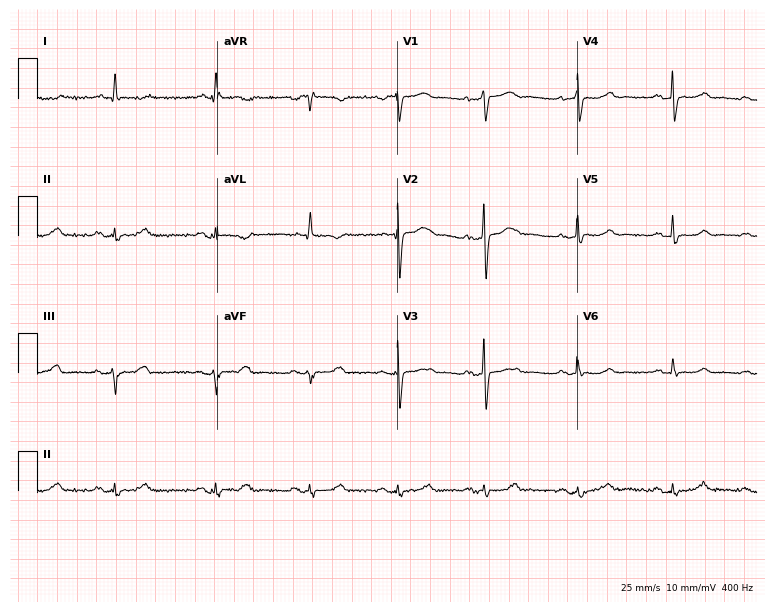
12-lead ECG from a 60-year-old female. Screened for six findings — first-degree AV block, right bundle branch block, left bundle branch block, sinus bradycardia, atrial fibrillation, sinus tachycardia — none is recorded.